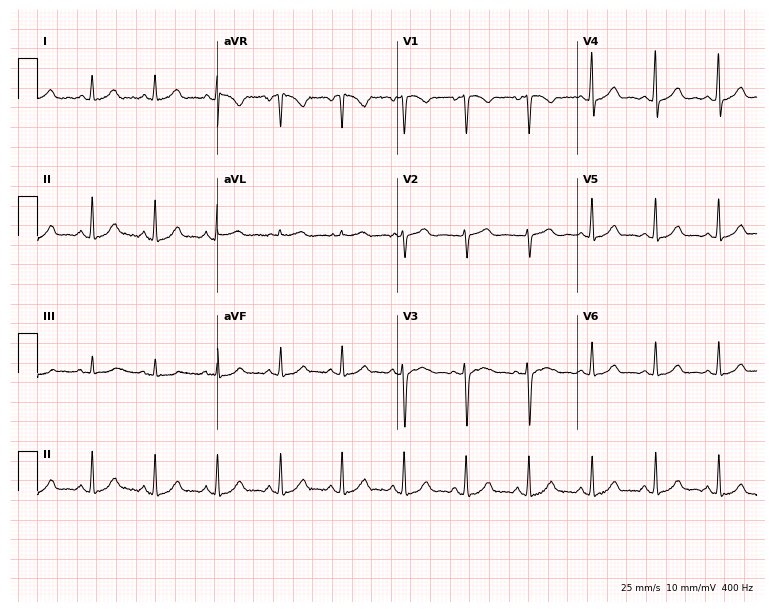
Resting 12-lead electrocardiogram. Patient: a 39-year-old female. Read as a normal ECG.